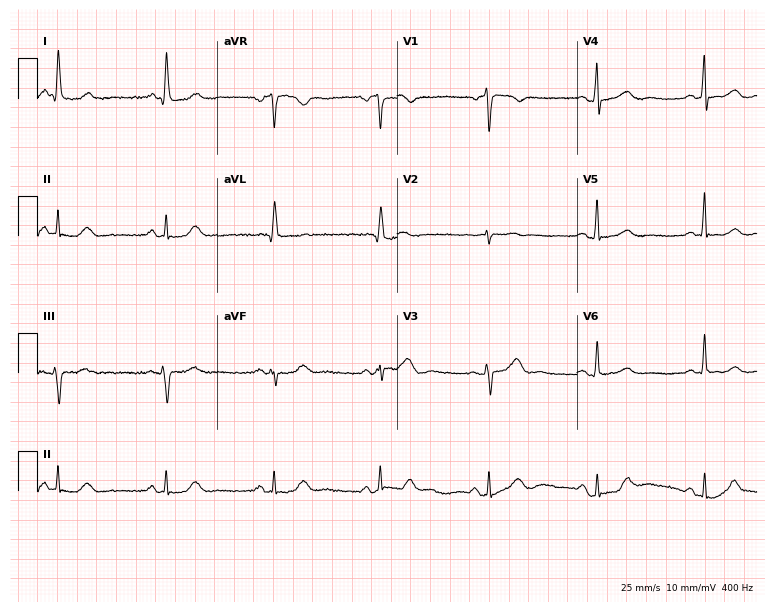
12-lead ECG (7.3-second recording at 400 Hz) from a 61-year-old female patient. Labelled as a normal ECG.